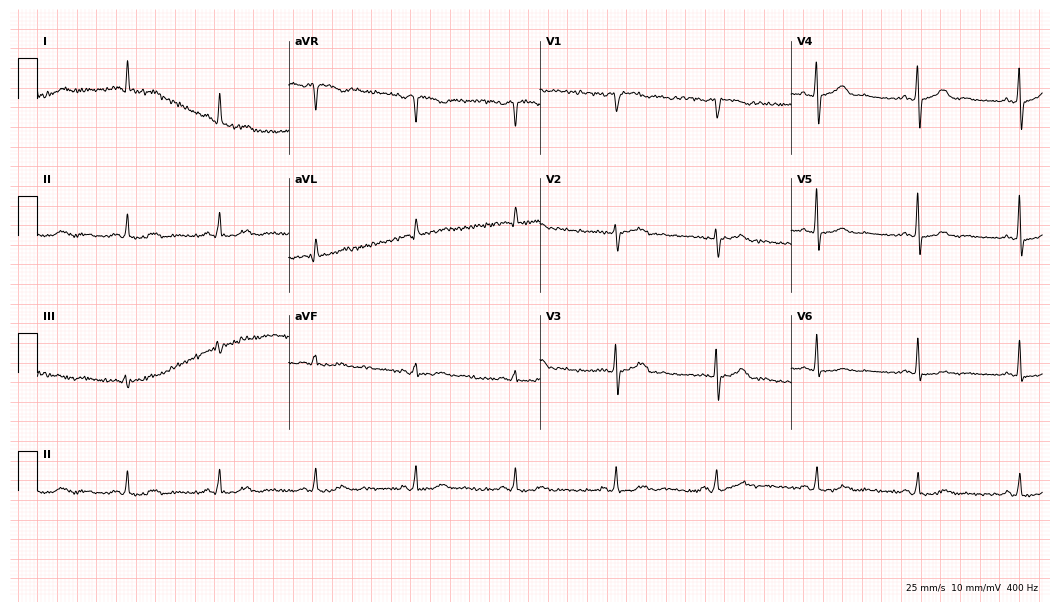
Electrocardiogram, a 52-year-old woman. Of the six screened findings (first-degree AV block, right bundle branch block, left bundle branch block, sinus bradycardia, atrial fibrillation, sinus tachycardia), none is recorded. Only these six findings were labelled.